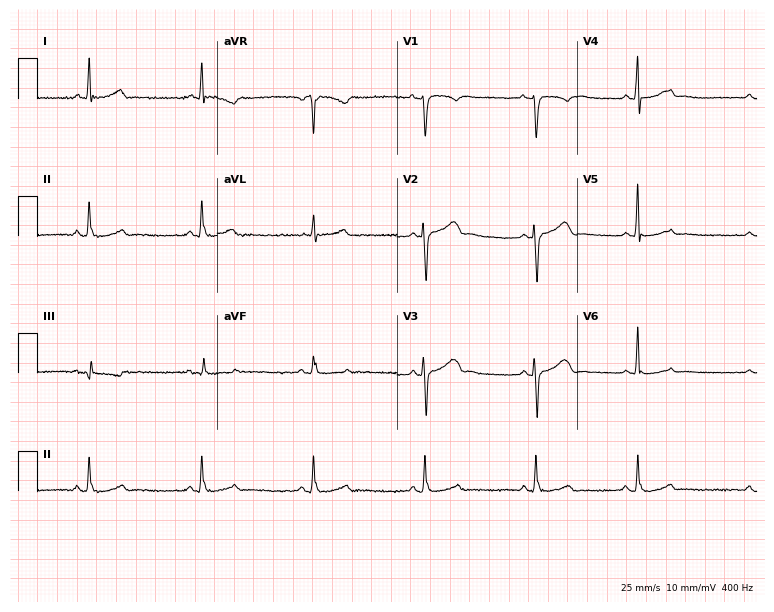
12-lead ECG from a 35-year-old female patient. Screened for six findings — first-degree AV block, right bundle branch block, left bundle branch block, sinus bradycardia, atrial fibrillation, sinus tachycardia — none is recorded. Findings outside these six are not listed.